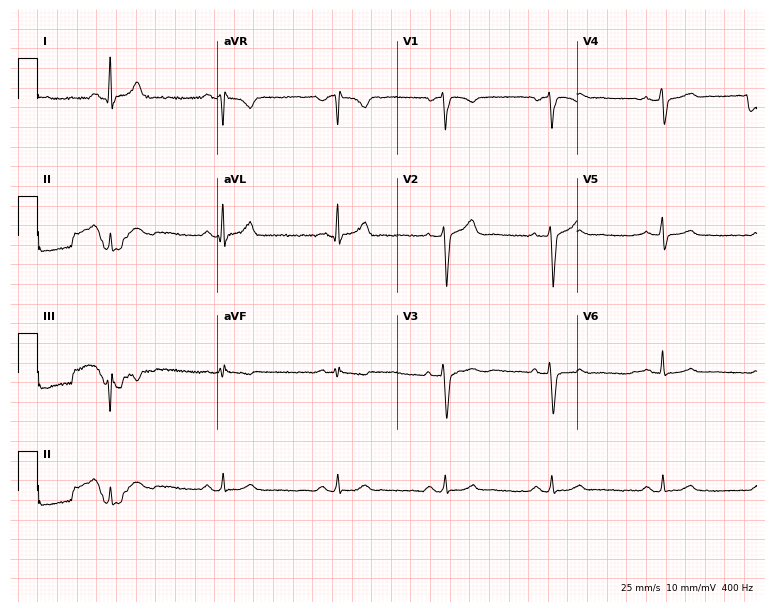
Standard 12-lead ECG recorded from a 41-year-old male. Read as a normal ECG.